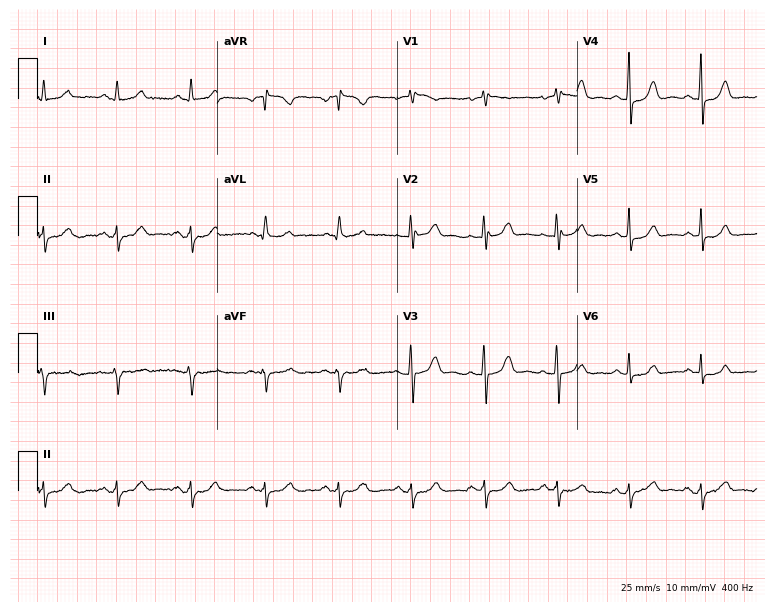
12-lead ECG from a 68-year-old female. No first-degree AV block, right bundle branch block, left bundle branch block, sinus bradycardia, atrial fibrillation or sinus tachycardia recorded for this tracing. Only these six findings were labelled.